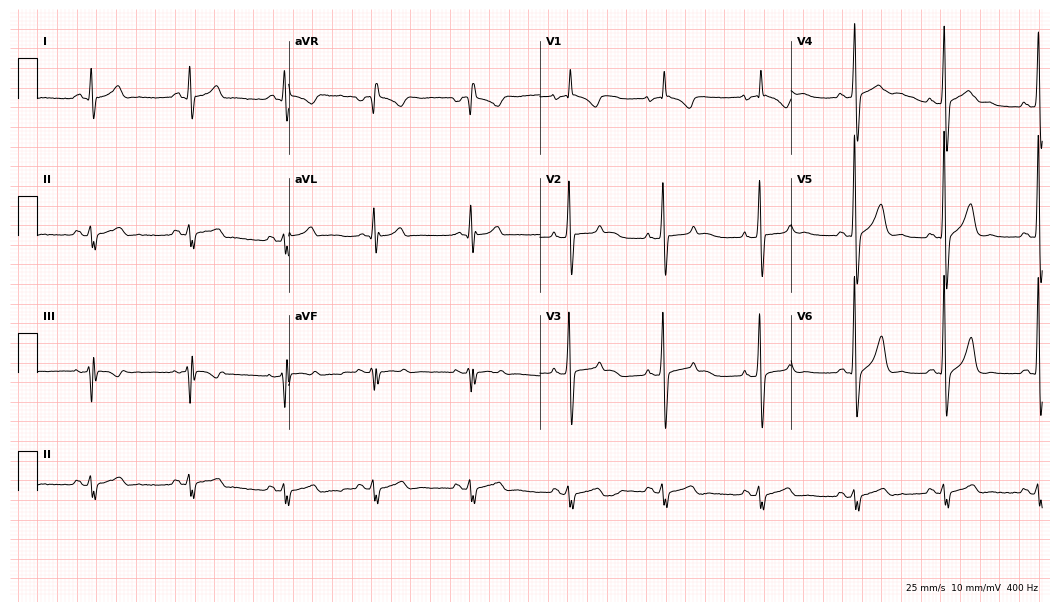
ECG (10.2-second recording at 400 Hz) — a 37-year-old man. Screened for six findings — first-degree AV block, right bundle branch block (RBBB), left bundle branch block (LBBB), sinus bradycardia, atrial fibrillation (AF), sinus tachycardia — none is recorded. Findings outside these six are not listed.